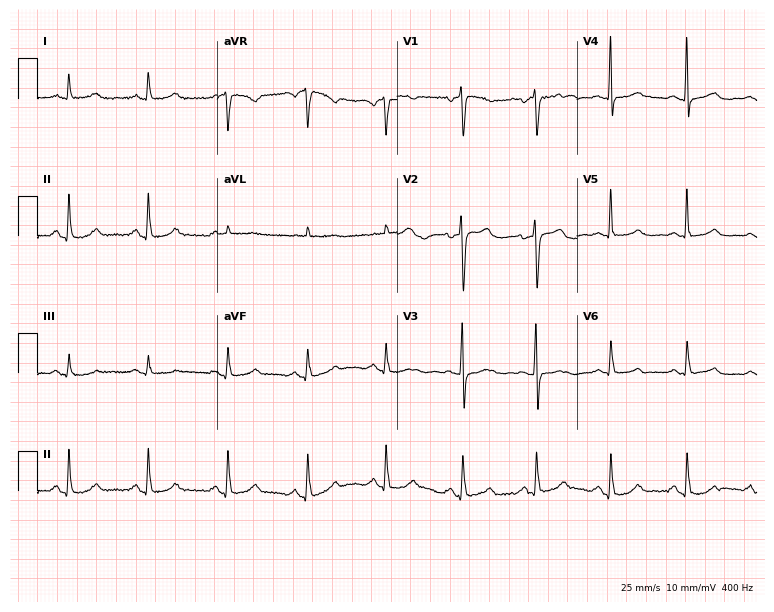
12-lead ECG from a 55-year-old woman. Labelled as a normal ECG.